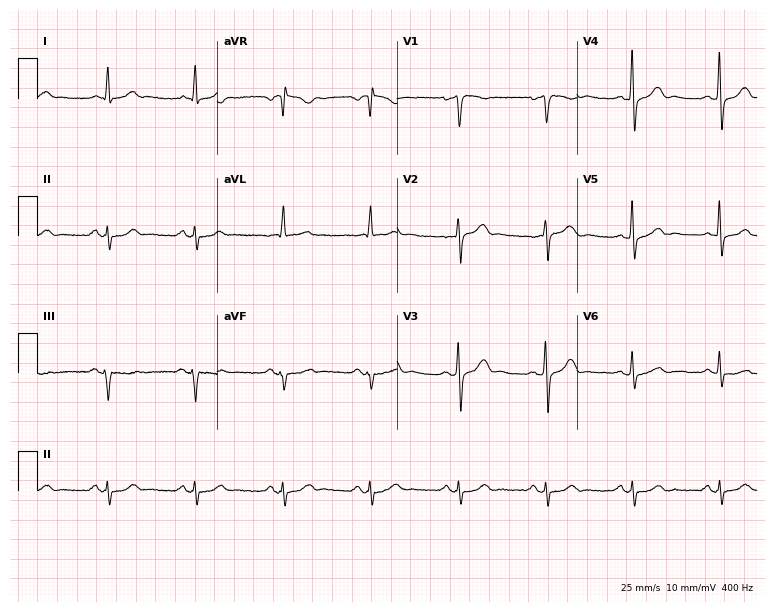
Resting 12-lead electrocardiogram. Patient: a man, 55 years old. None of these six findings is recorded: first-degree AV block, right bundle branch block (RBBB), left bundle branch block (LBBB), sinus bradycardia, atrial fibrillation (AF), sinus tachycardia. Findings outside these six are not listed.